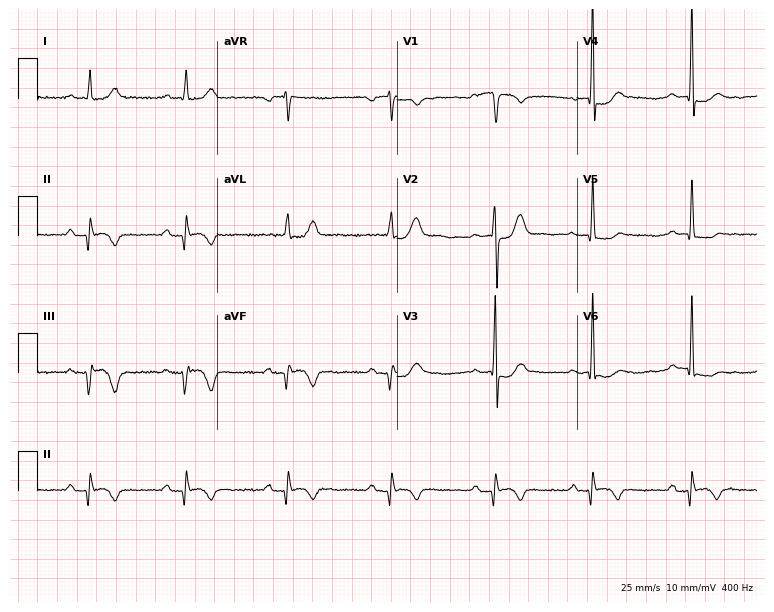
12-lead ECG from a 51-year-old male. Screened for six findings — first-degree AV block, right bundle branch block, left bundle branch block, sinus bradycardia, atrial fibrillation, sinus tachycardia — none is recorded. Only these six findings were labelled.